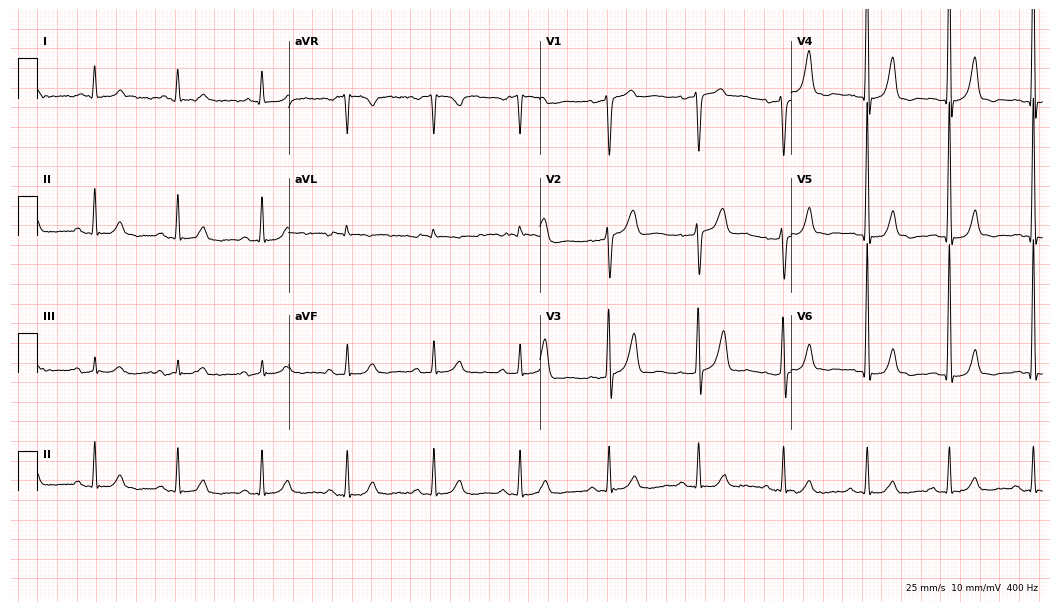
12-lead ECG from a male patient, 80 years old. Screened for six findings — first-degree AV block, right bundle branch block, left bundle branch block, sinus bradycardia, atrial fibrillation, sinus tachycardia — none is recorded.